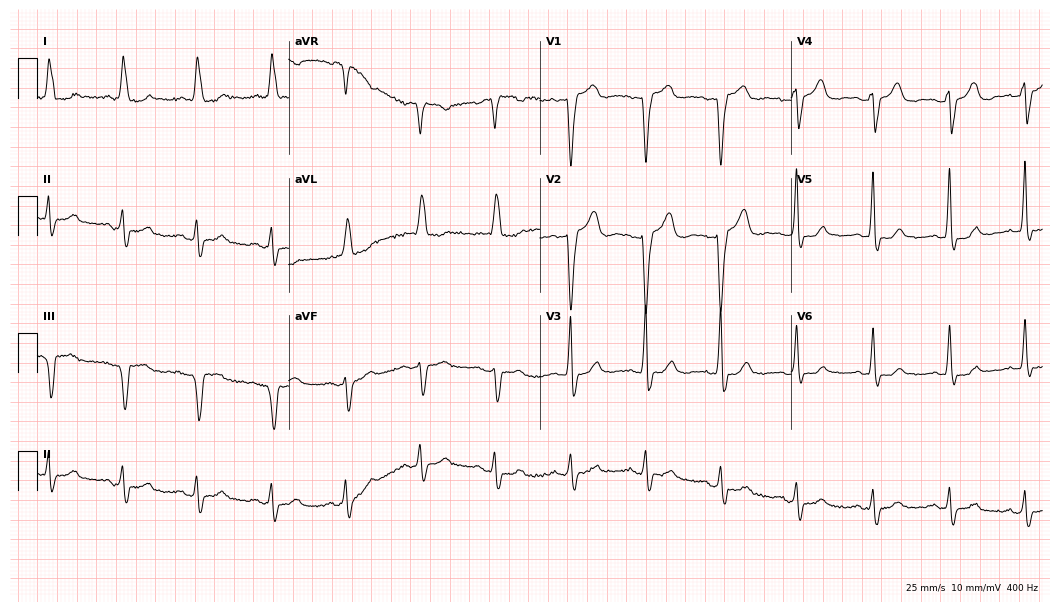
ECG — a woman, 81 years old. Findings include left bundle branch block (LBBB).